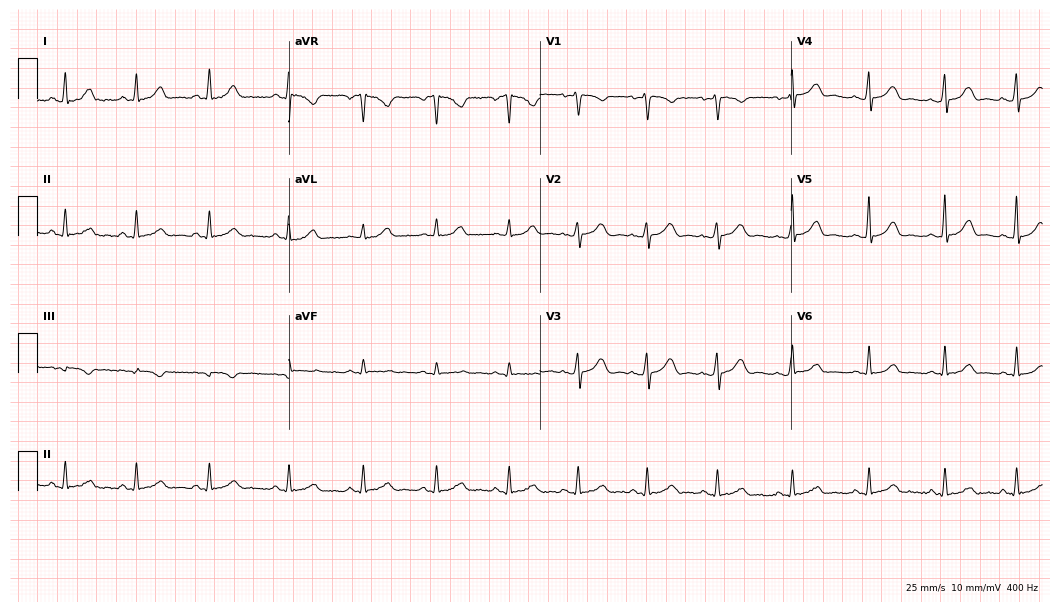
12-lead ECG from a woman, 31 years old (10.2-second recording at 400 Hz). Recorded interpretation: within normal limits.